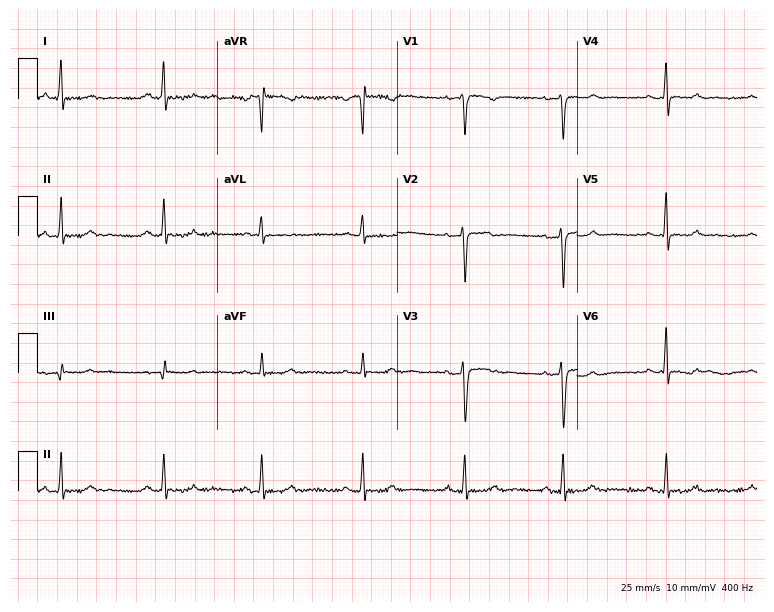
ECG (7.3-second recording at 400 Hz) — a 41-year-old woman. Screened for six findings — first-degree AV block, right bundle branch block, left bundle branch block, sinus bradycardia, atrial fibrillation, sinus tachycardia — none is recorded. Other findings, if any, are not listed.